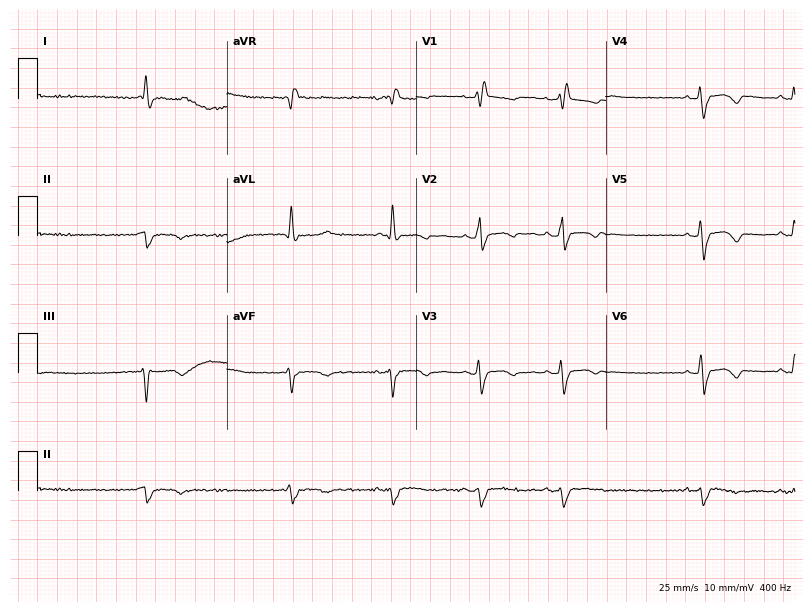
Electrocardiogram, a 65-year-old woman. Interpretation includes right bundle branch block.